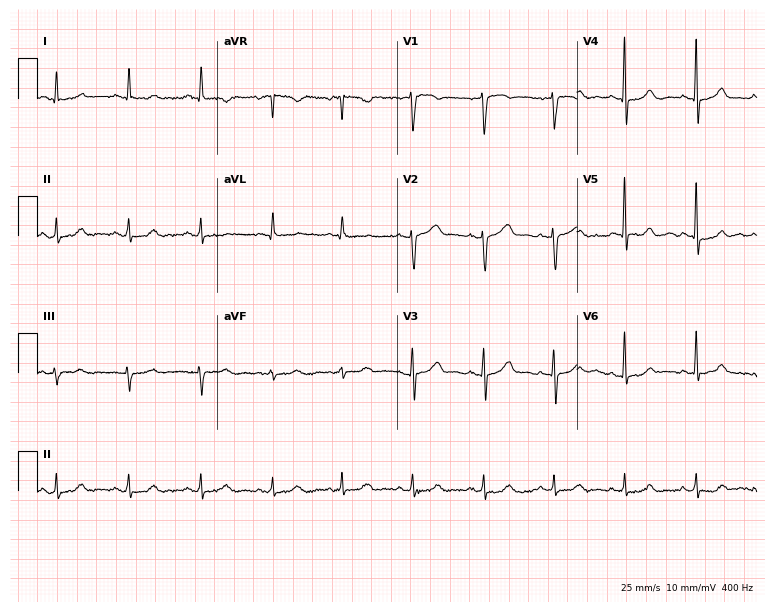
Resting 12-lead electrocardiogram. Patient: a female, 67 years old. None of these six findings is recorded: first-degree AV block, right bundle branch block, left bundle branch block, sinus bradycardia, atrial fibrillation, sinus tachycardia. Findings outside these six are not listed.